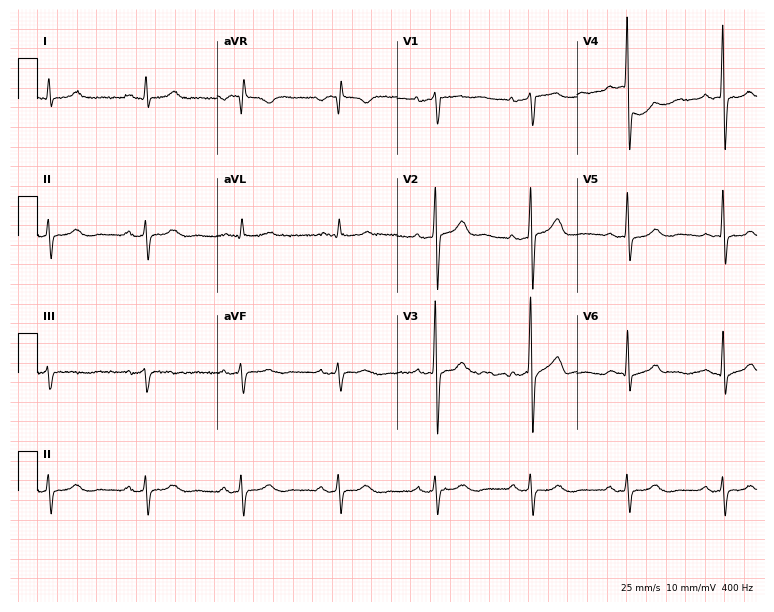
ECG — a man, 67 years old. Screened for six findings — first-degree AV block, right bundle branch block, left bundle branch block, sinus bradycardia, atrial fibrillation, sinus tachycardia — none is recorded. Only these six findings were labelled.